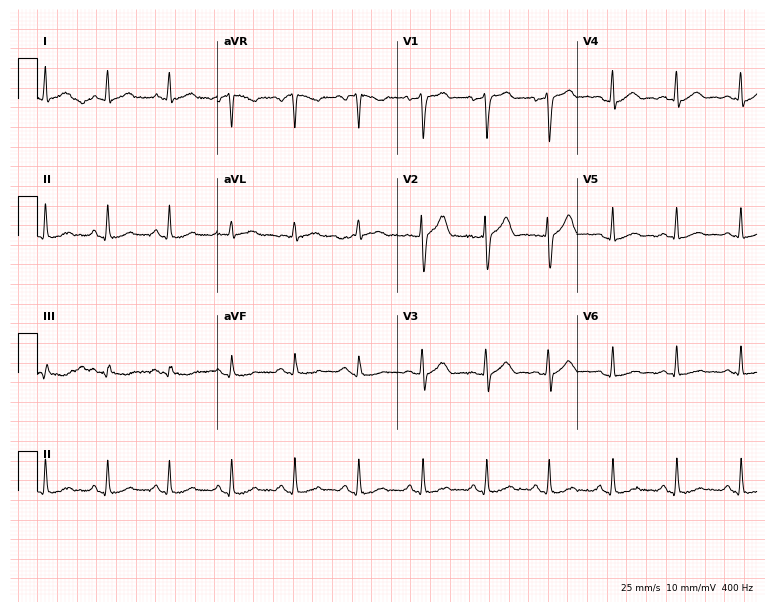
Resting 12-lead electrocardiogram. Patient: a 50-year-old man. Read as a normal ECG.